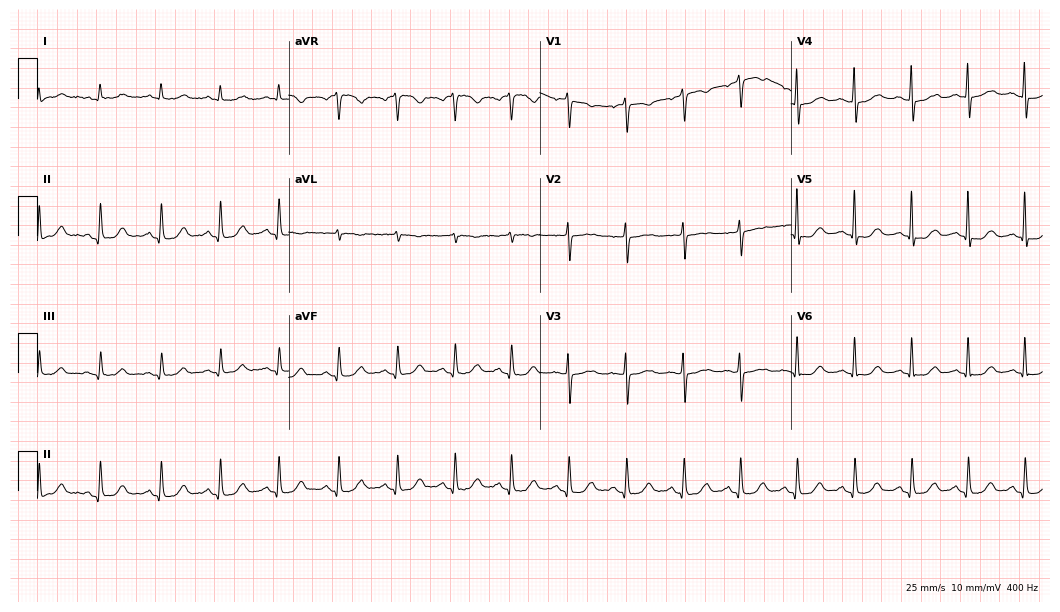
12-lead ECG from a 74-year-old female patient (10.2-second recording at 400 Hz). No first-degree AV block, right bundle branch block (RBBB), left bundle branch block (LBBB), sinus bradycardia, atrial fibrillation (AF) or sinus tachycardia recorded for this tracing. Findings outside these six are not listed.